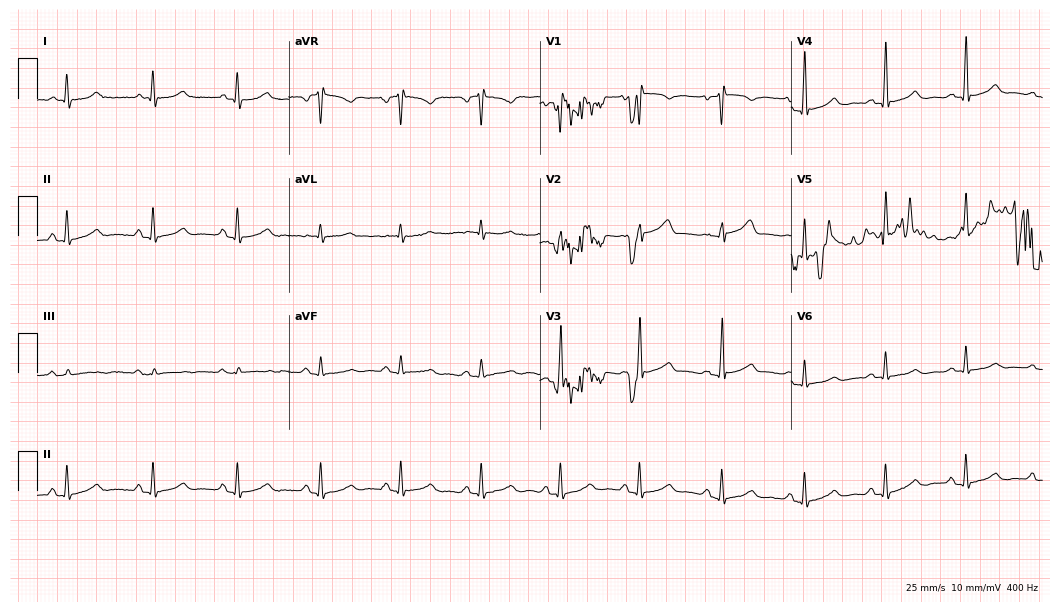
12-lead ECG (10.2-second recording at 400 Hz) from a woman, 62 years old. Screened for six findings — first-degree AV block, right bundle branch block, left bundle branch block, sinus bradycardia, atrial fibrillation, sinus tachycardia — none is recorded. Other findings, if any, are not listed.